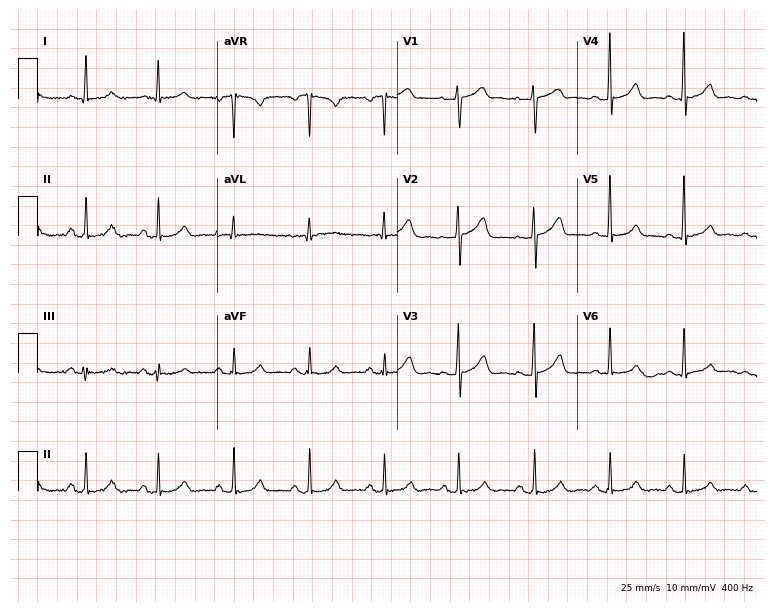
Resting 12-lead electrocardiogram (7.3-second recording at 400 Hz). Patient: a 74-year-old woman. None of these six findings is recorded: first-degree AV block, right bundle branch block, left bundle branch block, sinus bradycardia, atrial fibrillation, sinus tachycardia. Other findings, if any, are not listed.